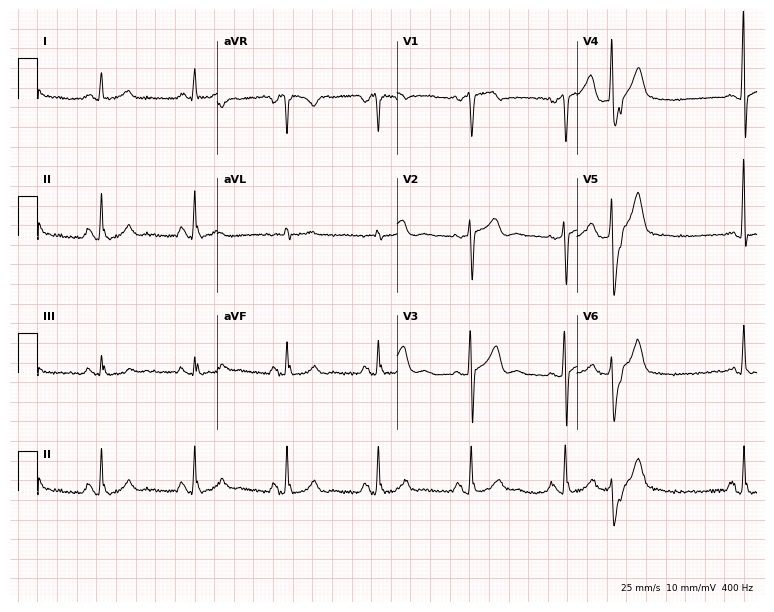
Standard 12-lead ECG recorded from a 64-year-old man (7.3-second recording at 400 Hz). None of these six findings is recorded: first-degree AV block, right bundle branch block (RBBB), left bundle branch block (LBBB), sinus bradycardia, atrial fibrillation (AF), sinus tachycardia. Other findings, if any, are not listed.